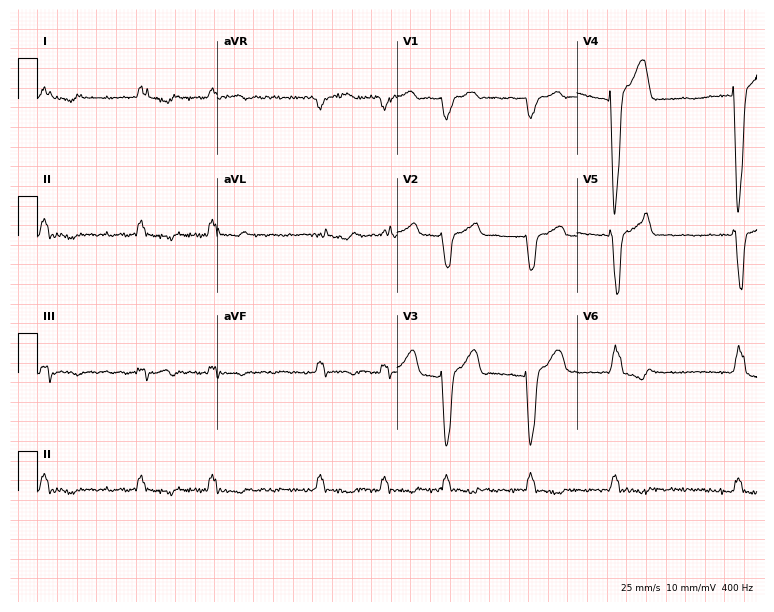
12-lead ECG (7.3-second recording at 400 Hz) from a male patient, 82 years old. Findings include left bundle branch block (LBBB), atrial fibrillation (AF).